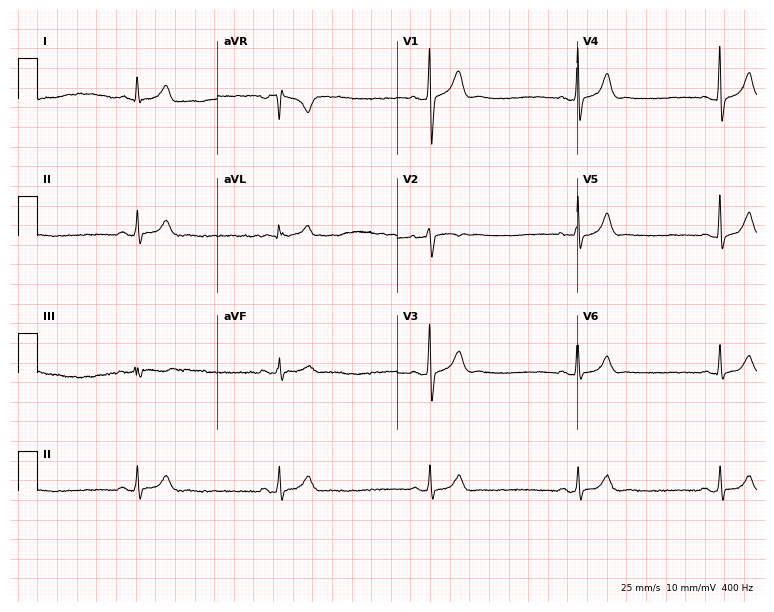
Standard 12-lead ECG recorded from a 38-year-old male (7.3-second recording at 400 Hz). The tracing shows sinus bradycardia (a sinus rate of 50 beats per minute or less).